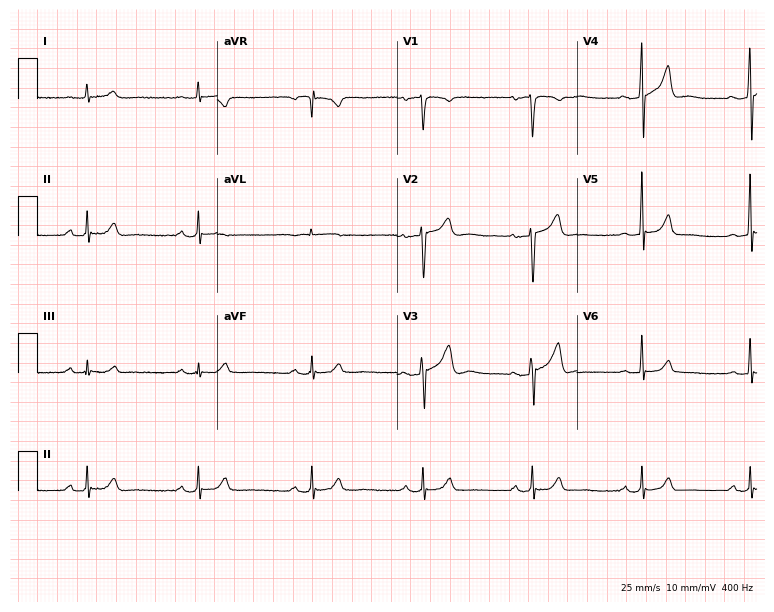
Electrocardiogram (7.3-second recording at 400 Hz), a 55-year-old man. Overall reading on record: normal ECG.